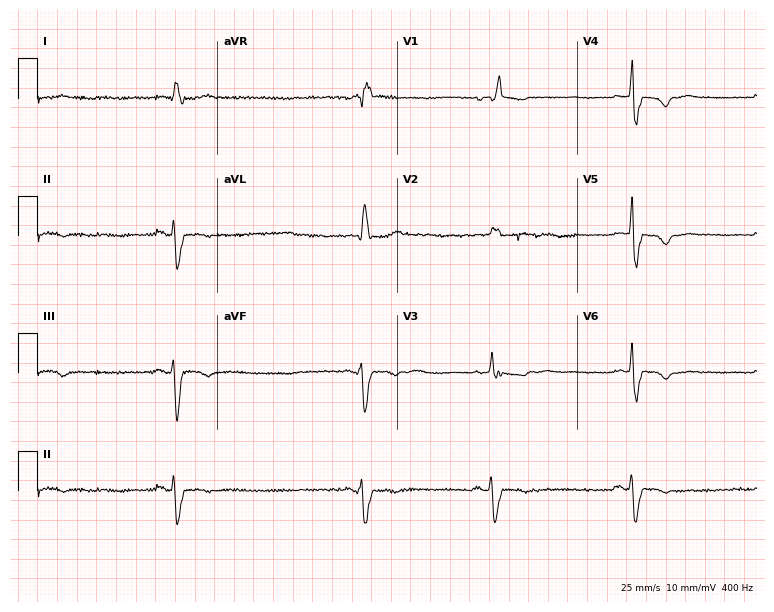
ECG (7.3-second recording at 400 Hz) — a 68-year-old male. Findings include right bundle branch block (RBBB), sinus bradycardia (a sinus rate of 50 beats per minute or less).